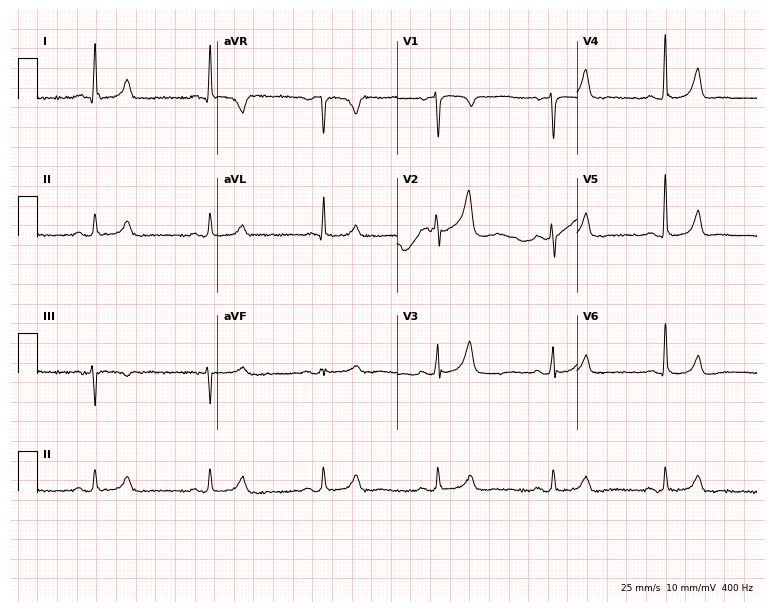
ECG — a male patient, 84 years old. Screened for six findings — first-degree AV block, right bundle branch block, left bundle branch block, sinus bradycardia, atrial fibrillation, sinus tachycardia — none is recorded. Other findings, if any, are not listed.